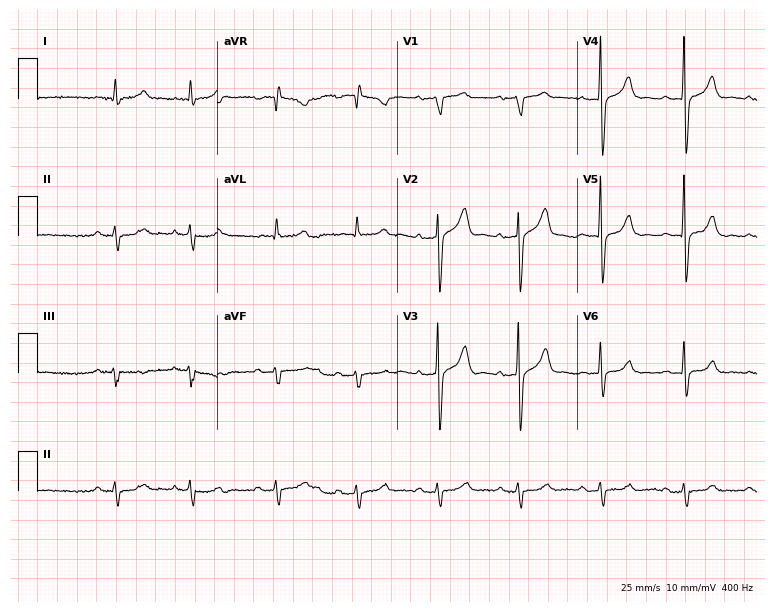
ECG (7.3-second recording at 400 Hz) — a 79-year-old male patient. Labelled as a normal ECG.